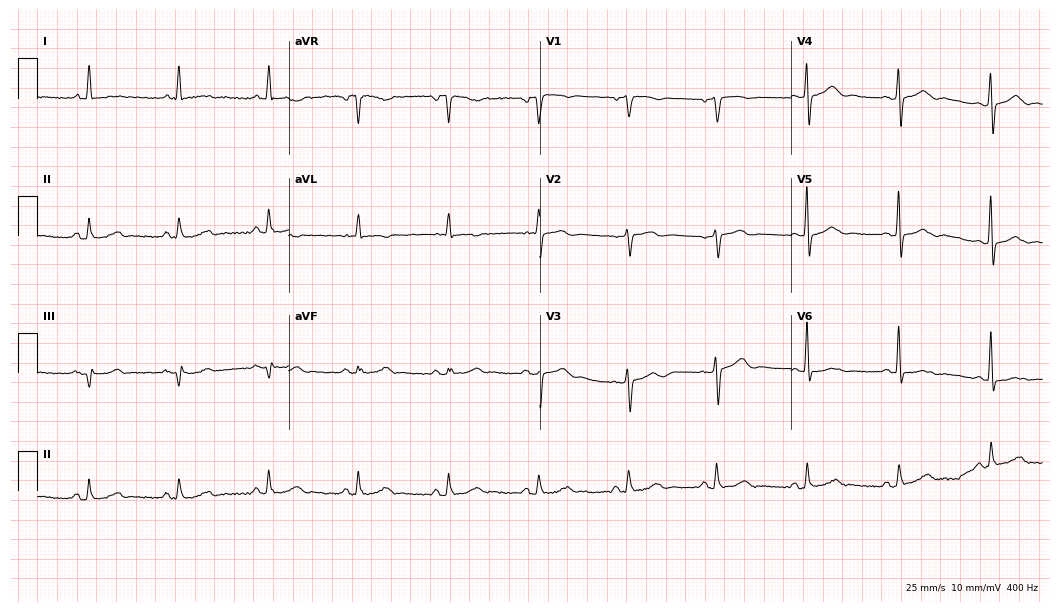
12-lead ECG from a female, 67 years old. Recorded interpretation: within normal limits.